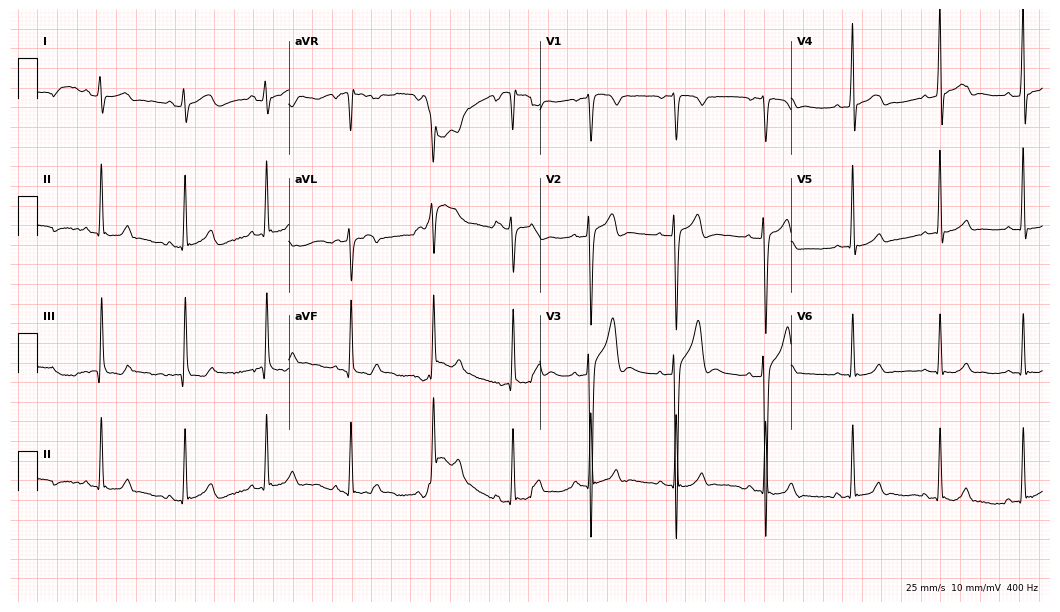
Standard 12-lead ECG recorded from a 24-year-old man. Read as a normal ECG.